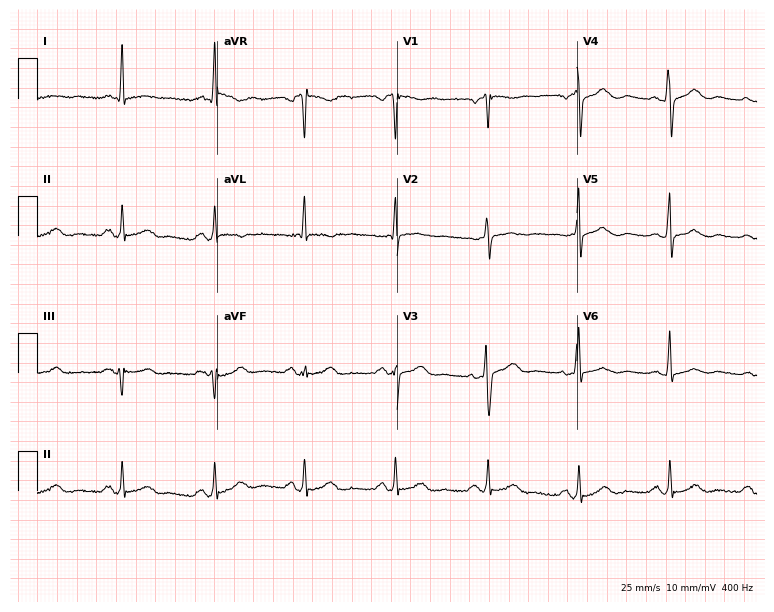
ECG — a 75-year-old woman. Screened for six findings — first-degree AV block, right bundle branch block, left bundle branch block, sinus bradycardia, atrial fibrillation, sinus tachycardia — none is recorded. Other findings, if any, are not listed.